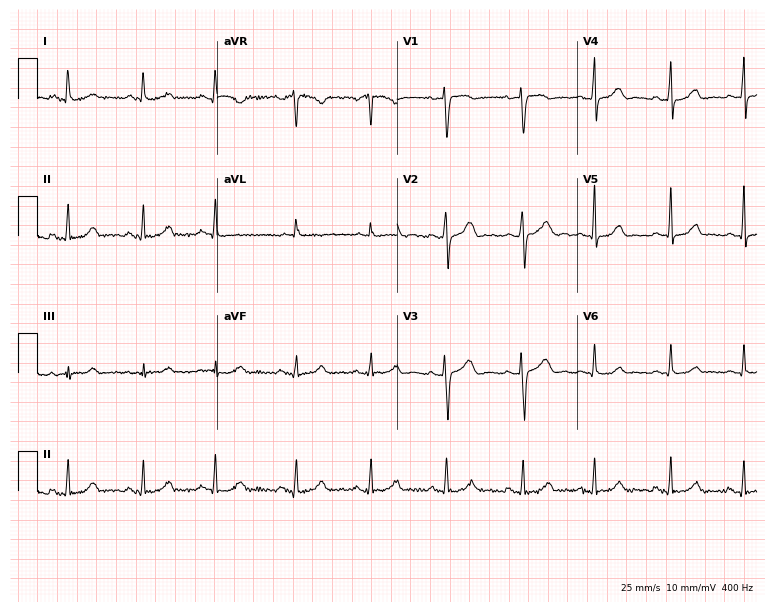
12-lead ECG from a female, 33 years old. Labelled as a normal ECG.